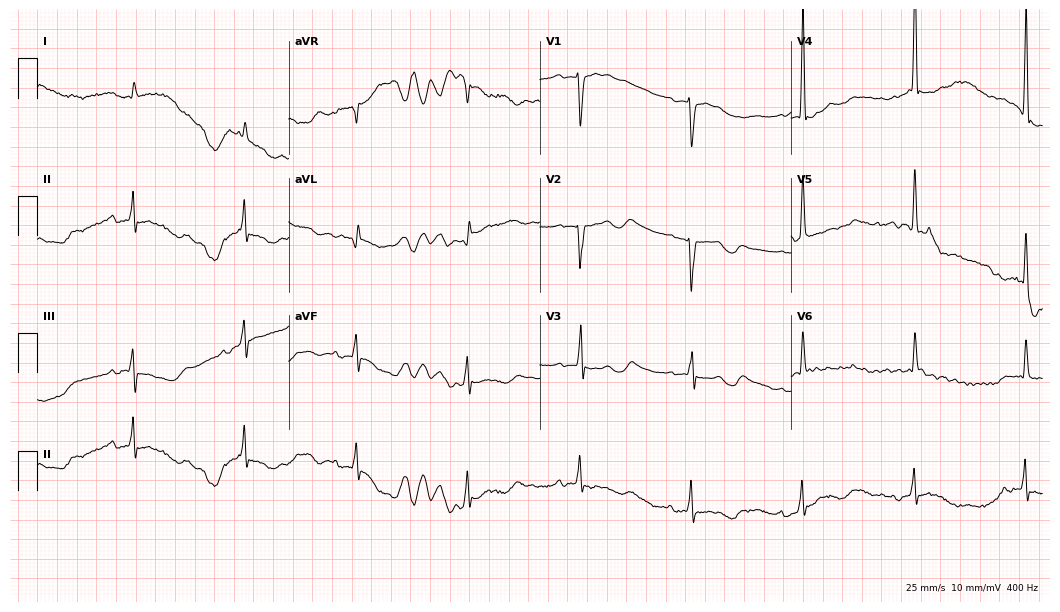
12-lead ECG from a male patient, 82 years old. No first-degree AV block, right bundle branch block (RBBB), left bundle branch block (LBBB), sinus bradycardia, atrial fibrillation (AF) or sinus tachycardia recorded for this tracing. Findings outside these six are not listed.